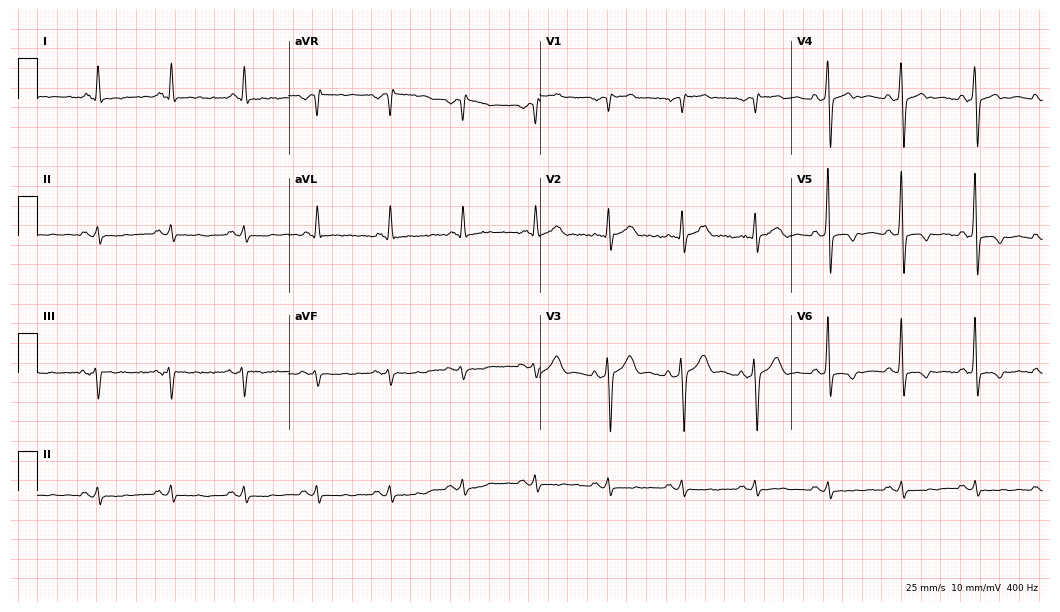
ECG — a 57-year-old man. Screened for six findings — first-degree AV block, right bundle branch block (RBBB), left bundle branch block (LBBB), sinus bradycardia, atrial fibrillation (AF), sinus tachycardia — none is recorded.